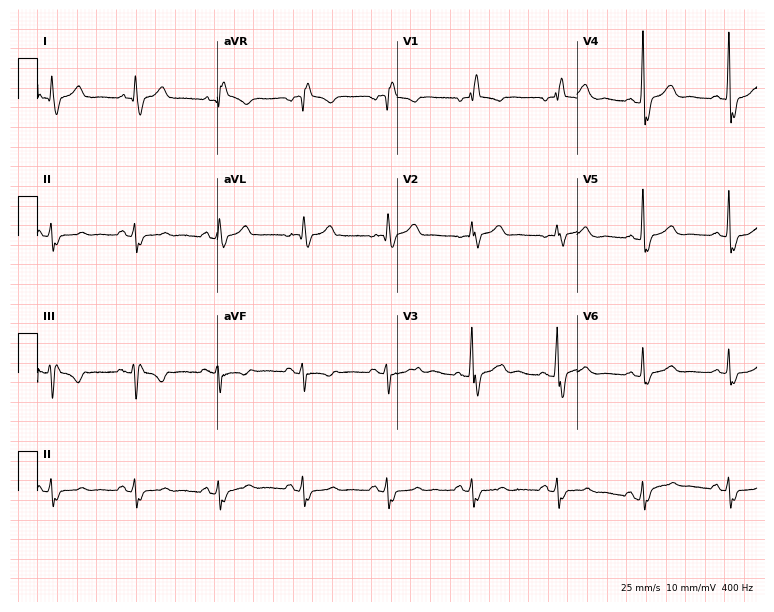
Standard 12-lead ECG recorded from a 67-year-old male patient (7.3-second recording at 400 Hz). The tracing shows right bundle branch block (RBBB).